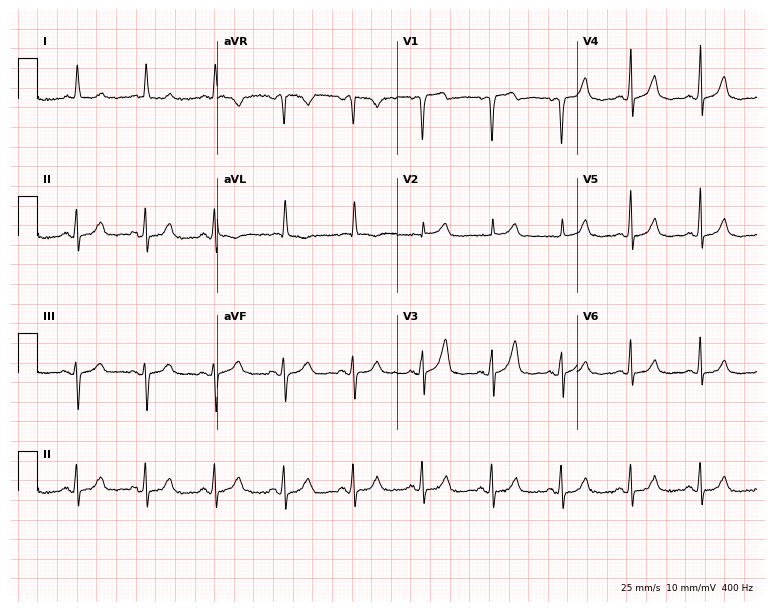
ECG — a female, 72 years old. Labelled as a normal ECG.